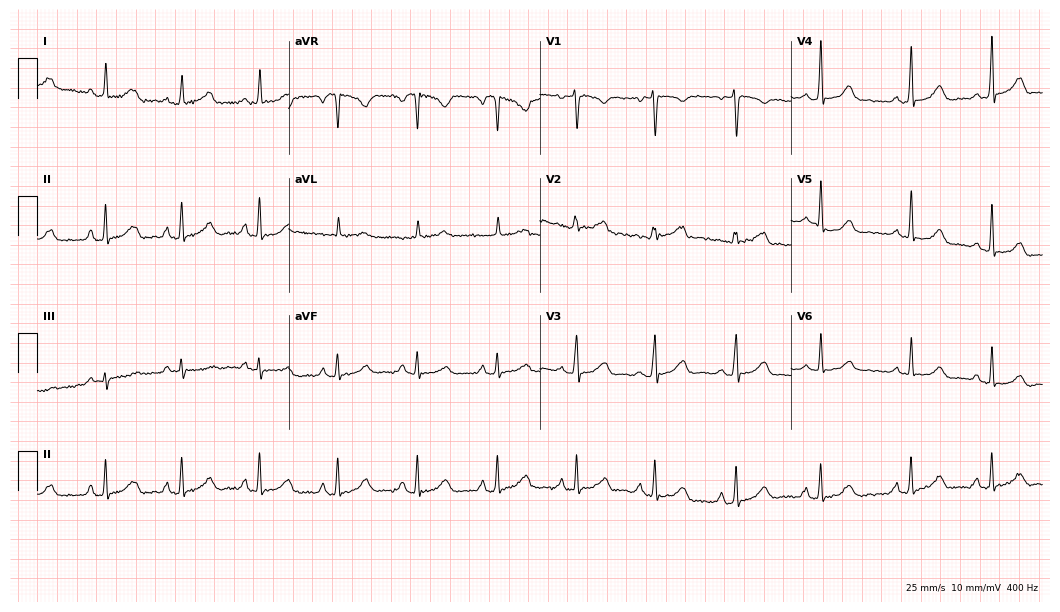
Resting 12-lead electrocardiogram. Patient: a 40-year-old woman. None of these six findings is recorded: first-degree AV block, right bundle branch block, left bundle branch block, sinus bradycardia, atrial fibrillation, sinus tachycardia. Only these six findings were labelled.